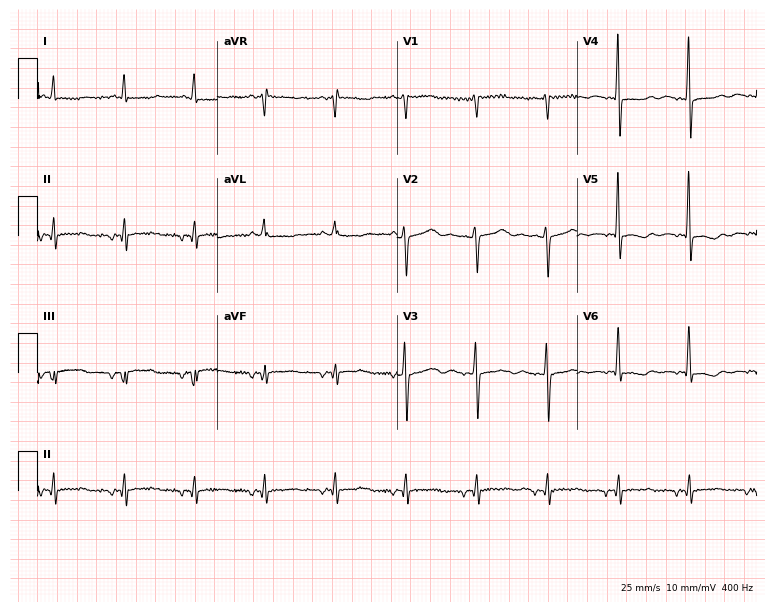
Standard 12-lead ECG recorded from a female, 83 years old (7.3-second recording at 400 Hz). None of these six findings is recorded: first-degree AV block, right bundle branch block (RBBB), left bundle branch block (LBBB), sinus bradycardia, atrial fibrillation (AF), sinus tachycardia. Other findings, if any, are not listed.